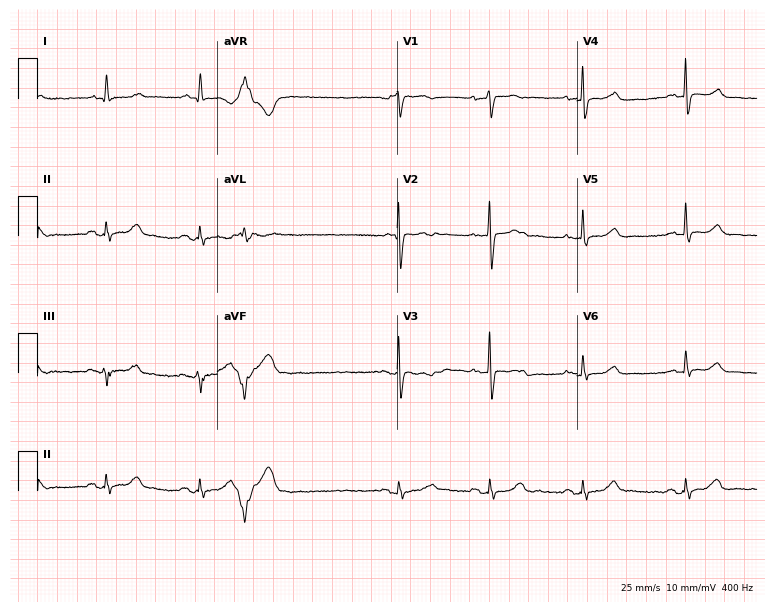
ECG (7.3-second recording at 400 Hz) — a woman, 60 years old. Screened for six findings — first-degree AV block, right bundle branch block (RBBB), left bundle branch block (LBBB), sinus bradycardia, atrial fibrillation (AF), sinus tachycardia — none is recorded. Findings outside these six are not listed.